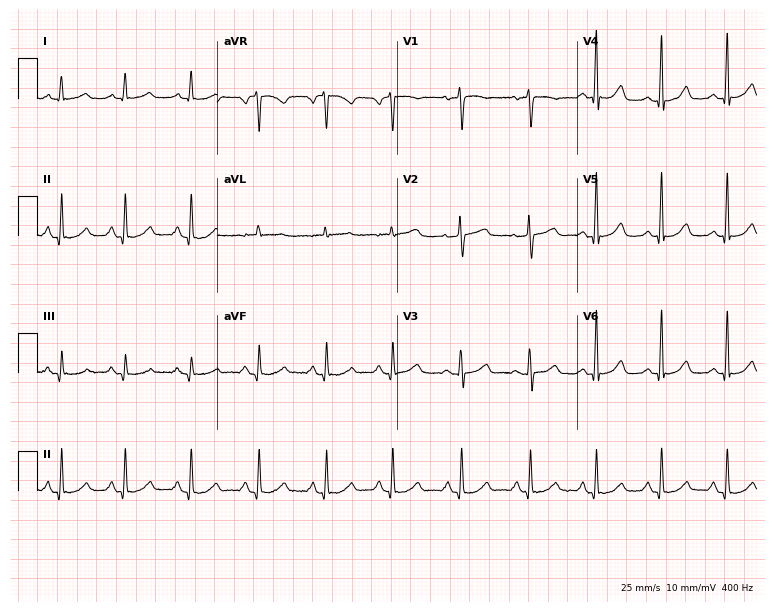
Electrocardiogram (7.3-second recording at 400 Hz), a 66-year-old female. Of the six screened findings (first-degree AV block, right bundle branch block, left bundle branch block, sinus bradycardia, atrial fibrillation, sinus tachycardia), none is recorded. Only these six findings were labelled.